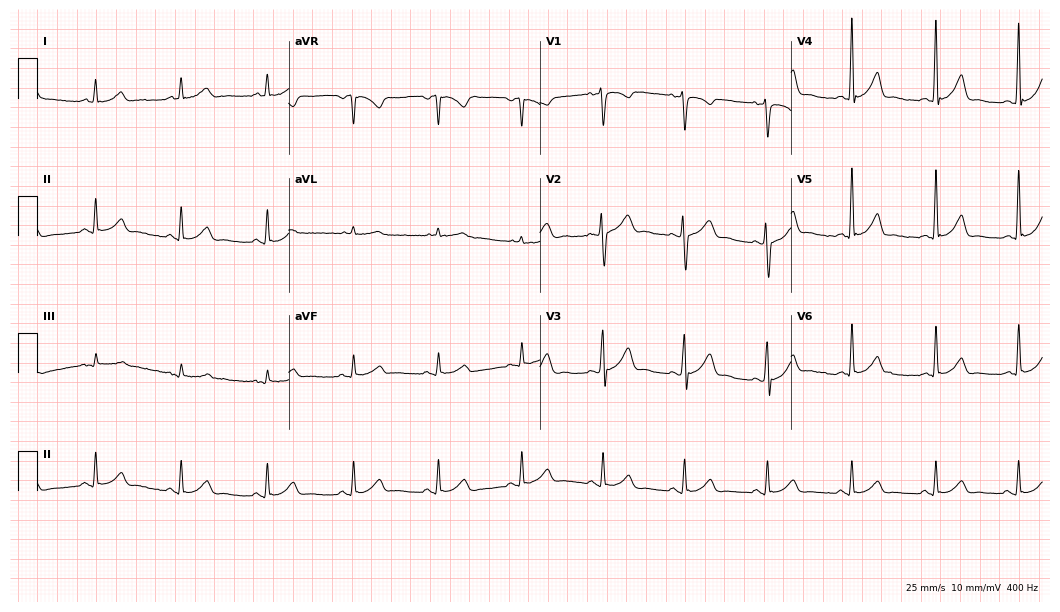
ECG (10.2-second recording at 400 Hz) — a male patient, 51 years old. Labelled as a normal ECG.